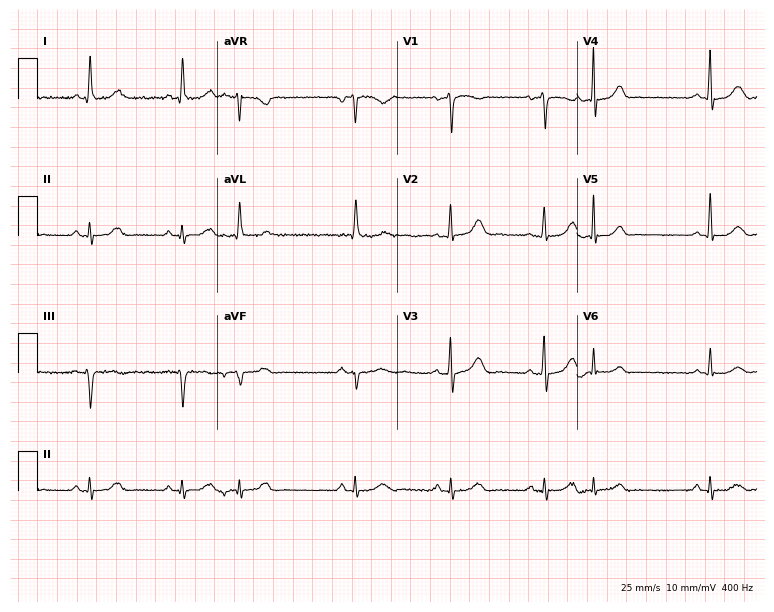
Electrocardiogram (7.3-second recording at 400 Hz), a 67-year-old woman. Of the six screened findings (first-degree AV block, right bundle branch block, left bundle branch block, sinus bradycardia, atrial fibrillation, sinus tachycardia), none is recorded. Findings outside these six are not listed.